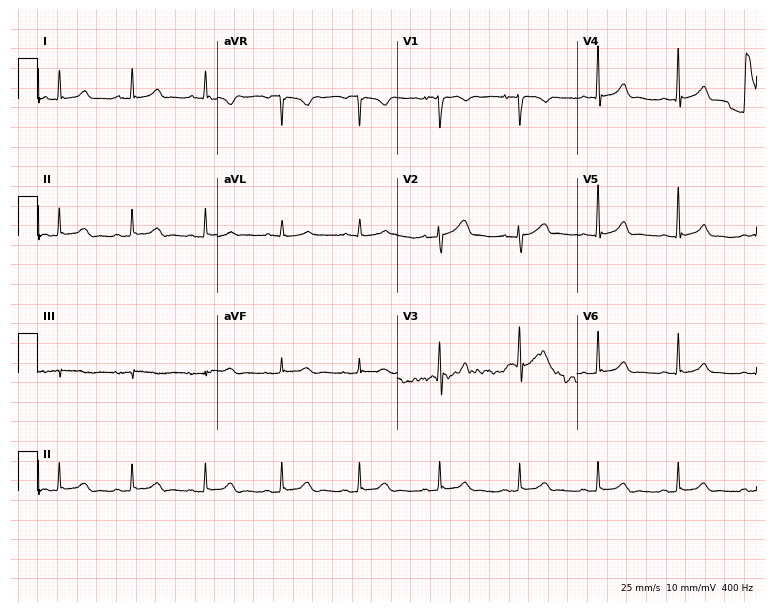
12-lead ECG from a 61-year-old man. Labelled as a normal ECG.